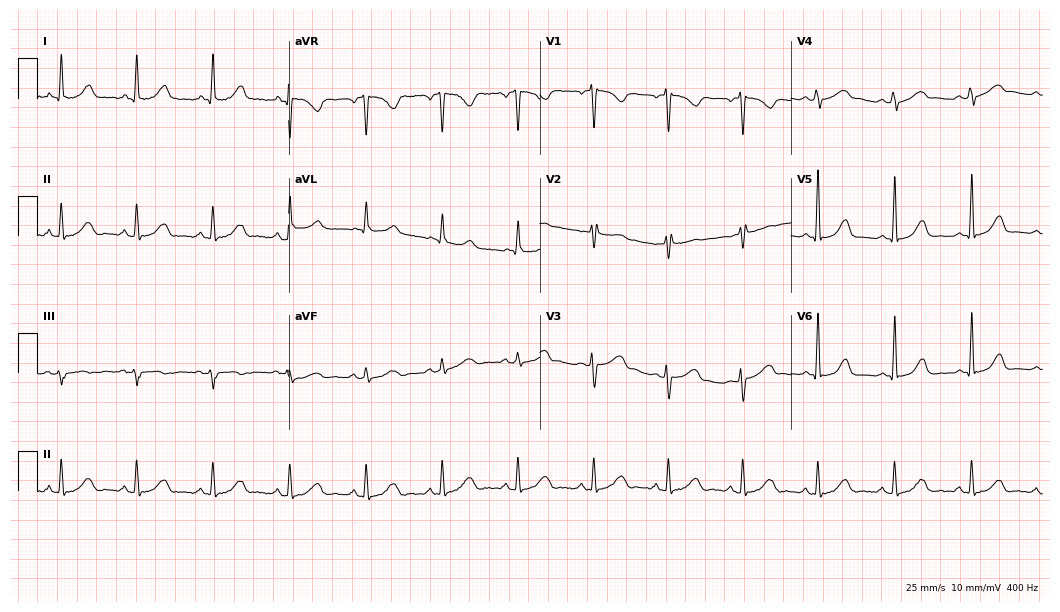
ECG — a 50-year-old female. Labelled as a normal ECG.